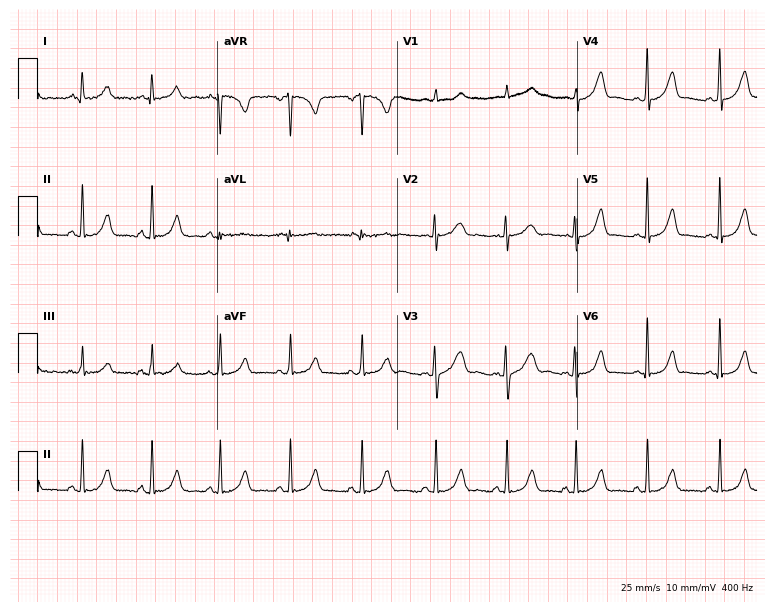
ECG — a 23-year-old female. Labelled as a normal ECG.